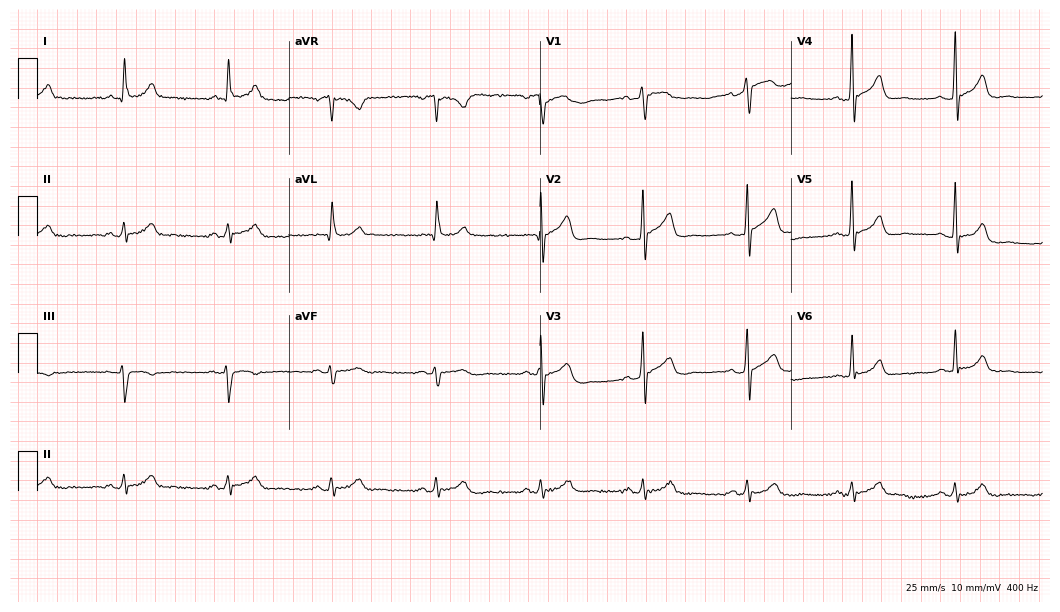
12-lead ECG (10.2-second recording at 400 Hz) from a male, 68 years old. Labelled as a normal ECG.